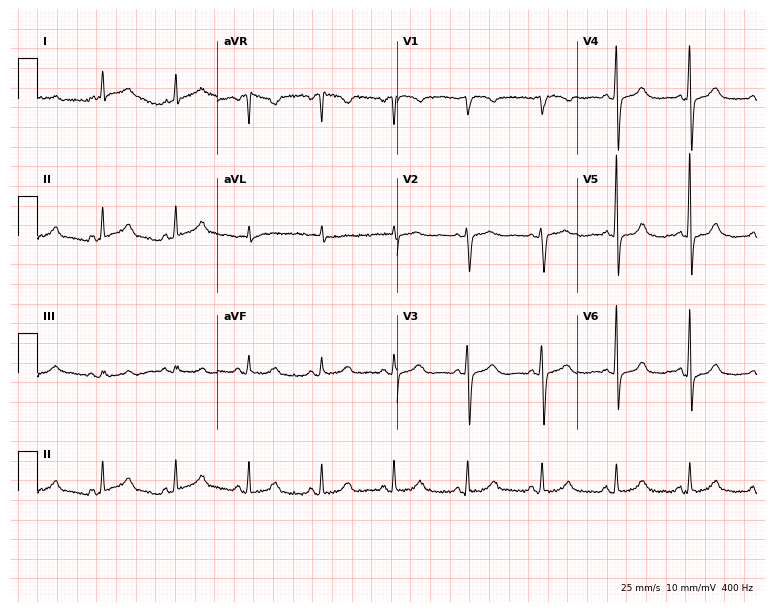
Electrocardiogram (7.3-second recording at 400 Hz), a woman, 75 years old. Overall reading on record: normal ECG.